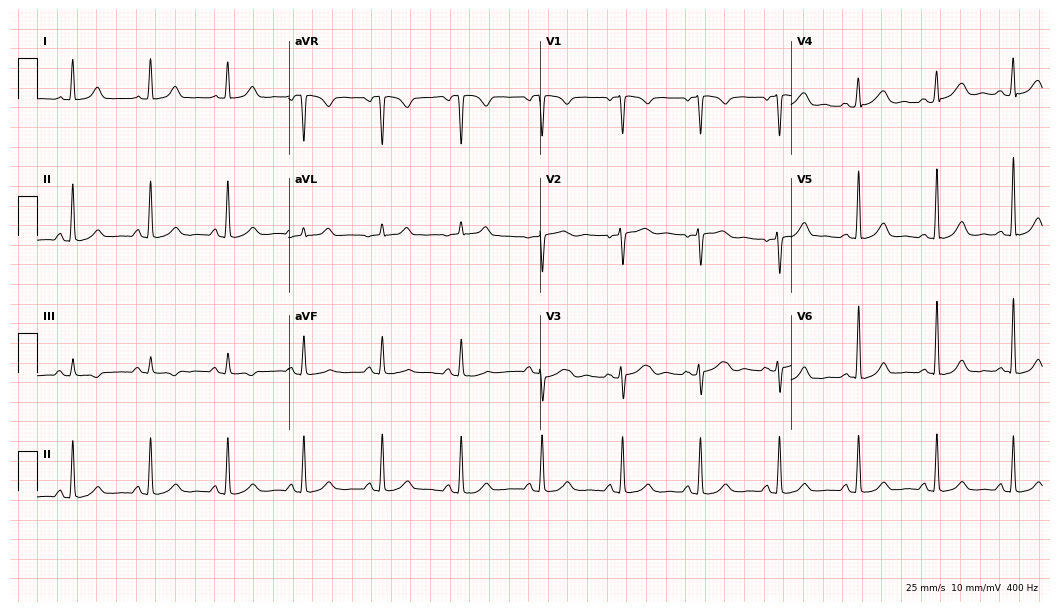
12-lead ECG from a female, 42 years old (10.2-second recording at 400 Hz). Recorded interpretation: within normal limits.